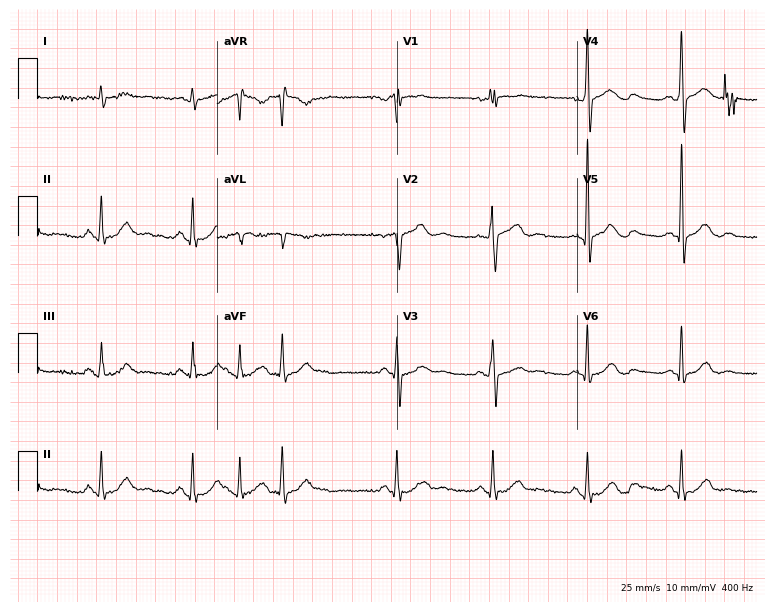
12-lead ECG from a 75-year-old male patient (7.3-second recording at 400 Hz). No first-degree AV block, right bundle branch block (RBBB), left bundle branch block (LBBB), sinus bradycardia, atrial fibrillation (AF) or sinus tachycardia recorded for this tracing. Only these six findings were labelled.